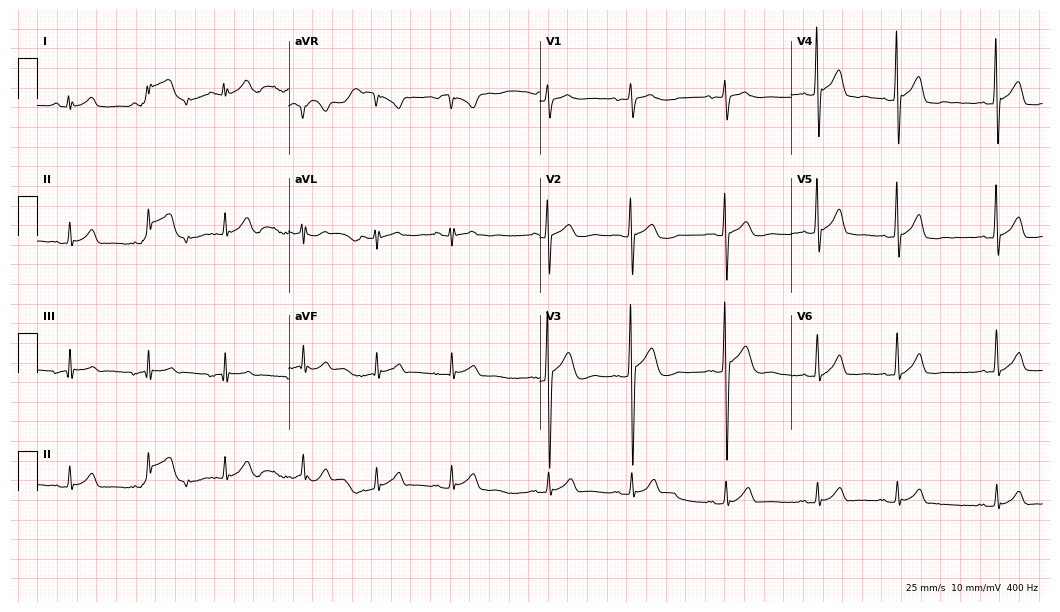
12-lead ECG from a 28-year-old man. Labelled as a normal ECG.